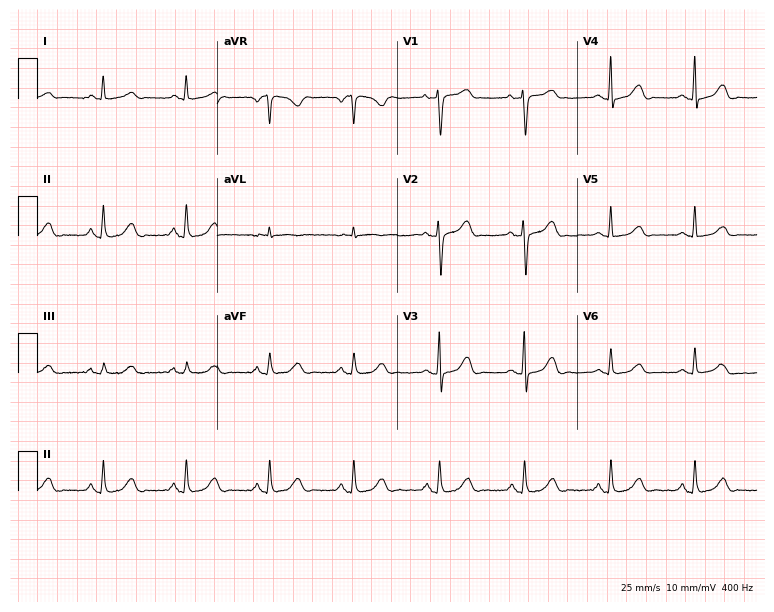
Standard 12-lead ECG recorded from a female, 51 years old. Read as a normal ECG.